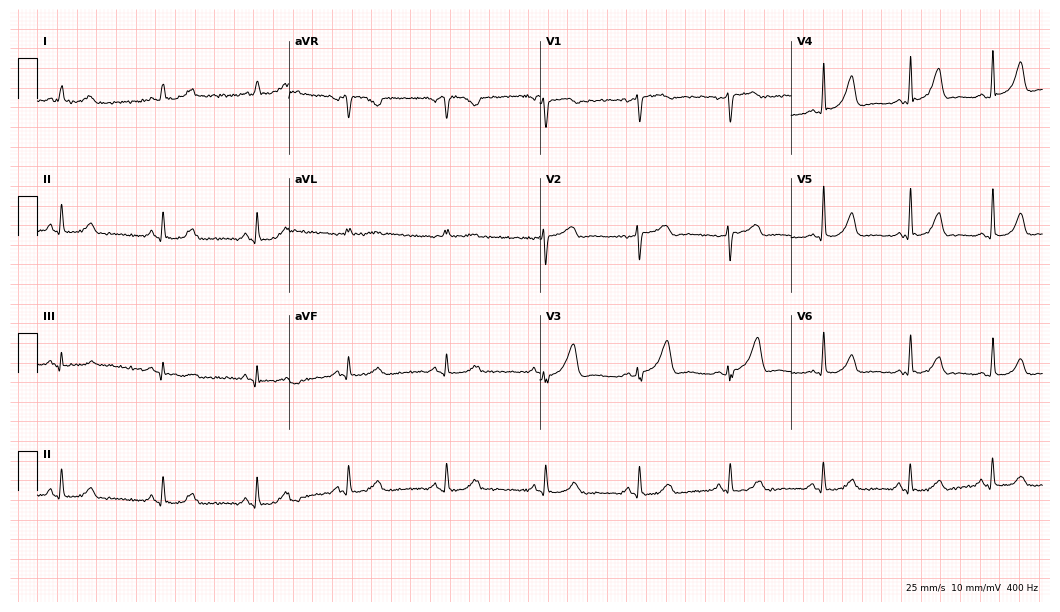
12-lead ECG (10.2-second recording at 400 Hz) from a female patient, 44 years old. Screened for six findings — first-degree AV block, right bundle branch block (RBBB), left bundle branch block (LBBB), sinus bradycardia, atrial fibrillation (AF), sinus tachycardia — none is recorded.